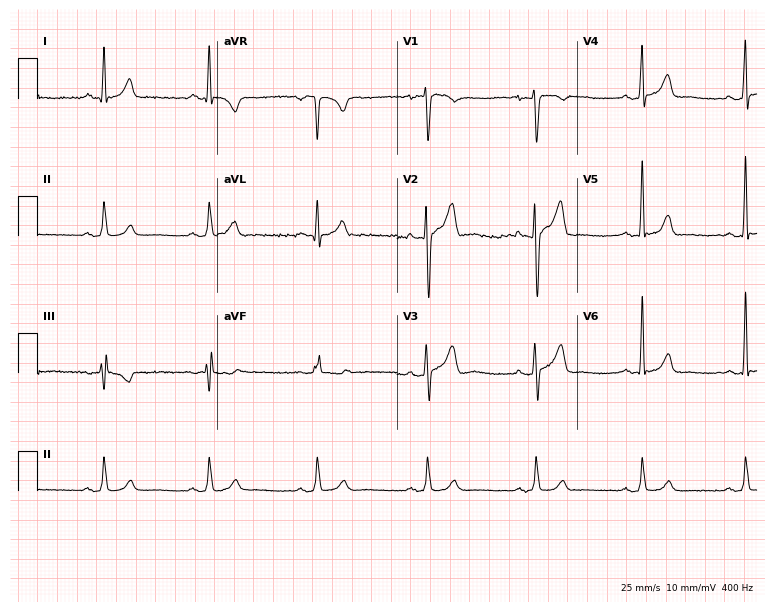
12-lead ECG (7.3-second recording at 400 Hz) from a 35-year-old man. Labelled as a normal ECG.